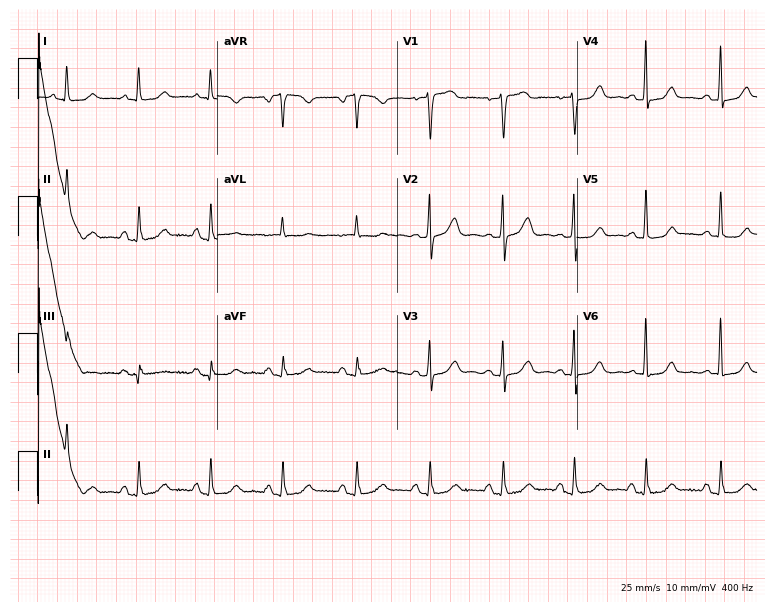
12-lead ECG from a 67-year-old female patient. Labelled as a normal ECG.